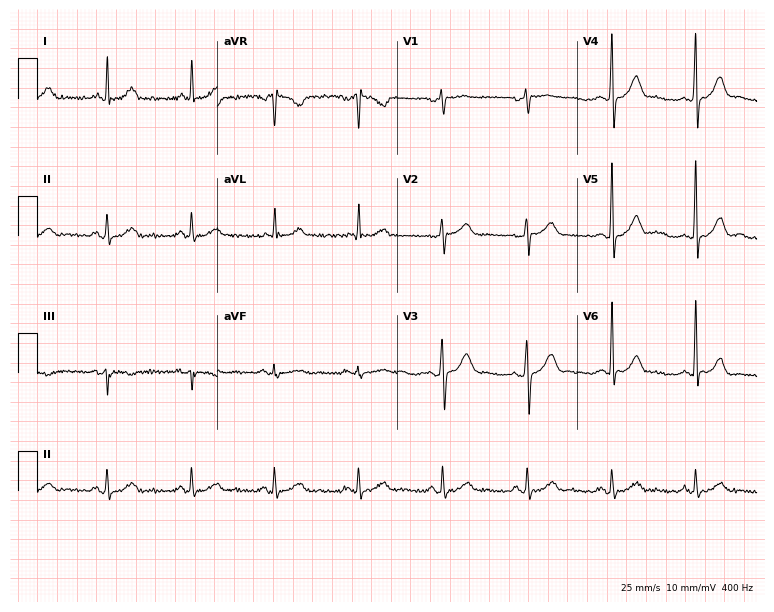
ECG — a 68-year-old male patient. Labelled as a normal ECG.